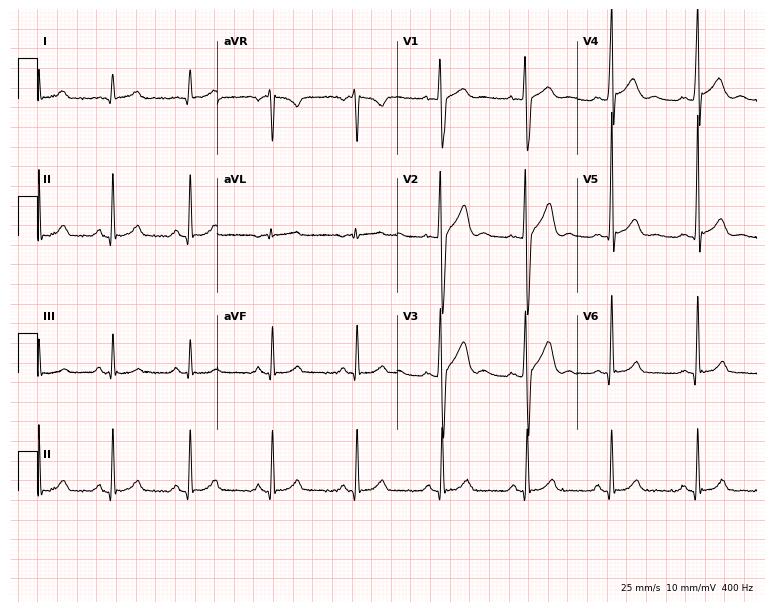
Resting 12-lead electrocardiogram (7.3-second recording at 400 Hz). Patient: a male, 35 years old. Read as a normal ECG.